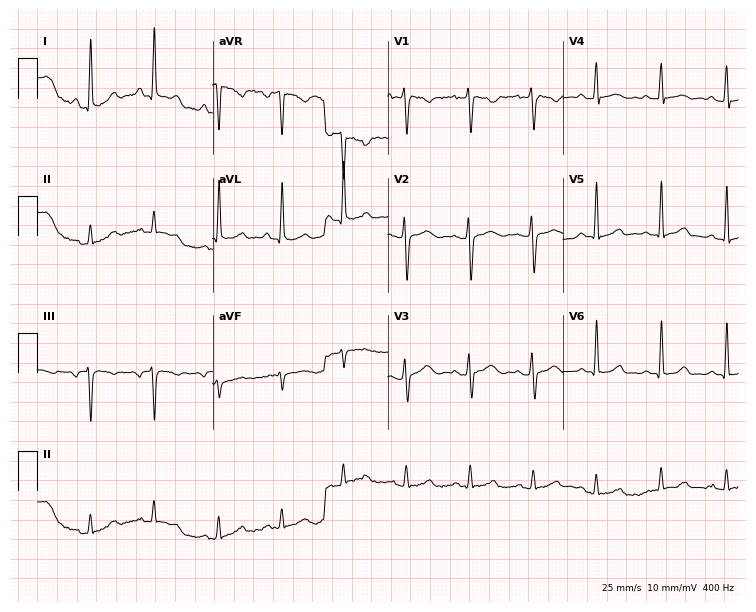
Electrocardiogram, a 23-year-old female. Of the six screened findings (first-degree AV block, right bundle branch block, left bundle branch block, sinus bradycardia, atrial fibrillation, sinus tachycardia), none is recorded. Findings outside these six are not listed.